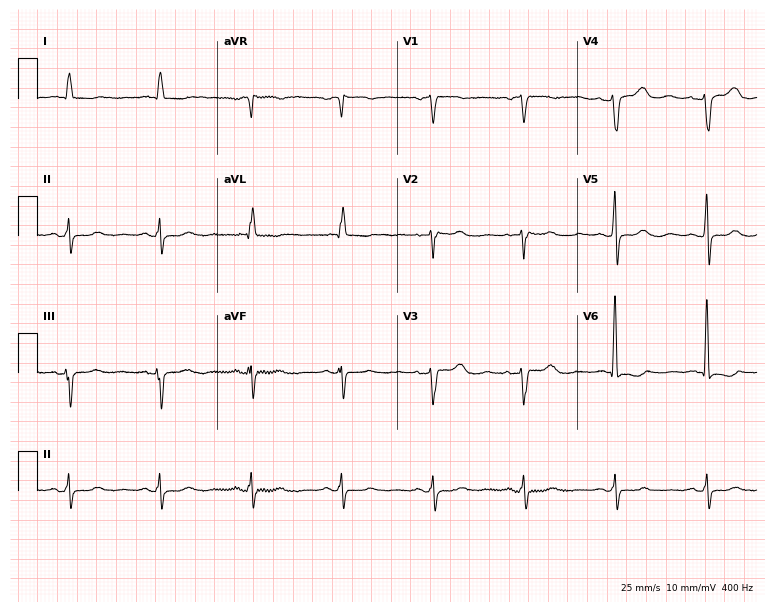
ECG — a female, 84 years old. Screened for six findings — first-degree AV block, right bundle branch block (RBBB), left bundle branch block (LBBB), sinus bradycardia, atrial fibrillation (AF), sinus tachycardia — none is recorded. Only these six findings were labelled.